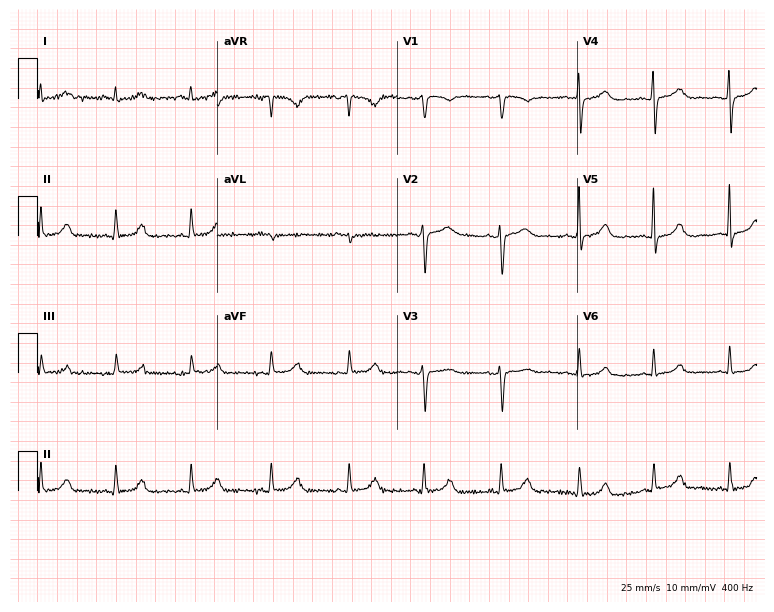
12-lead ECG from a female, 50 years old. Labelled as a normal ECG.